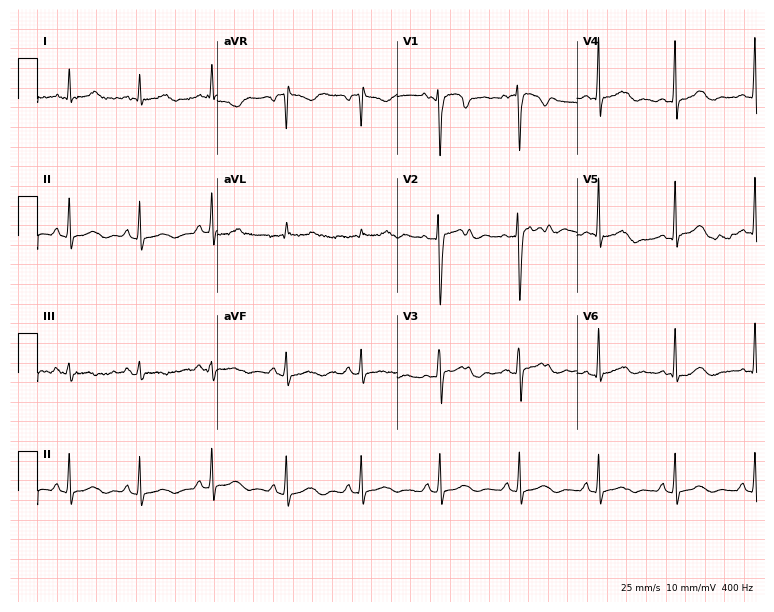
Resting 12-lead electrocardiogram (7.3-second recording at 400 Hz). Patient: a 28-year-old female. None of these six findings is recorded: first-degree AV block, right bundle branch block, left bundle branch block, sinus bradycardia, atrial fibrillation, sinus tachycardia.